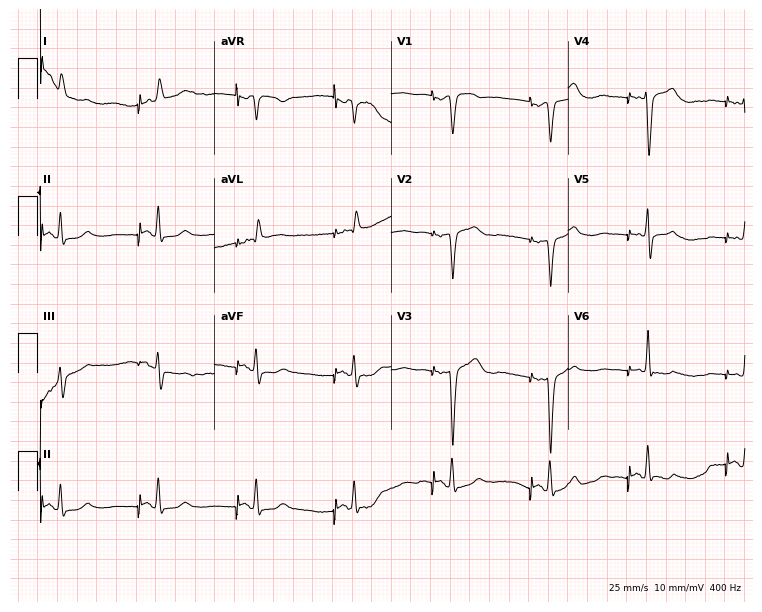
Electrocardiogram (7.2-second recording at 400 Hz), a 70-year-old man. Of the six screened findings (first-degree AV block, right bundle branch block, left bundle branch block, sinus bradycardia, atrial fibrillation, sinus tachycardia), none is recorded. Other findings, if any, are not listed.